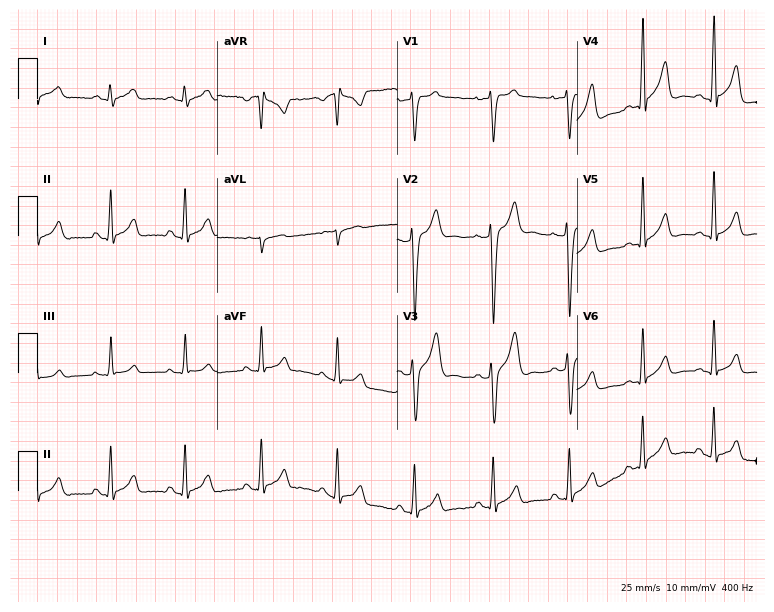
12-lead ECG from a male, 30 years old (7.3-second recording at 400 Hz). No first-degree AV block, right bundle branch block, left bundle branch block, sinus bradycardia, atrial fibrillation or sinus tachycardia recorded for this tracing.